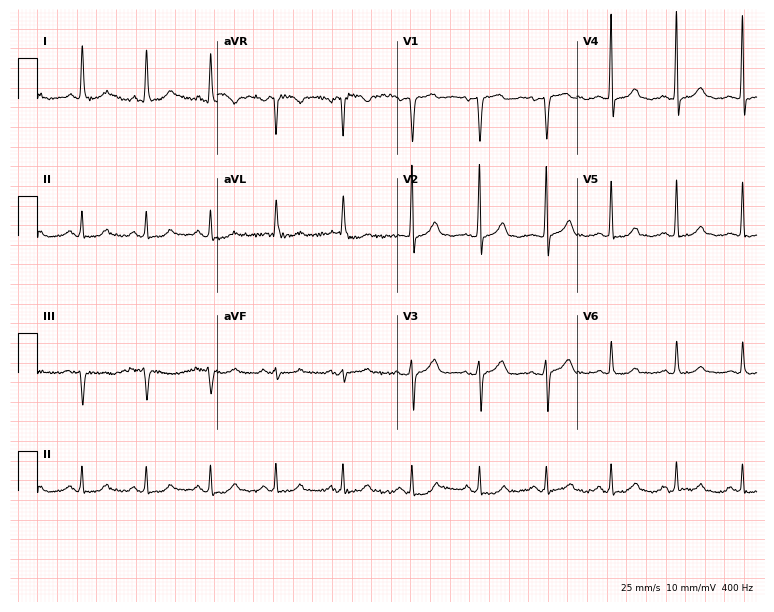
Resting 12-lead electrocardiogram (7.3-second recording at 400 Hz). Patient: a 66-year-old female. Read as a normal ECG.